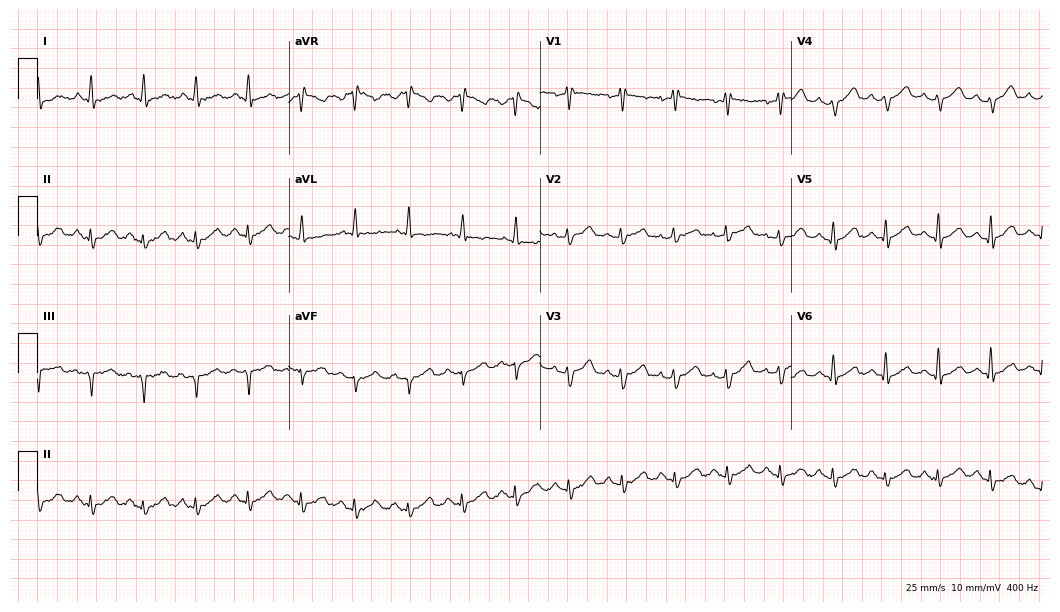
Standard 12-lead ECG recorded from a 41-year-old male. The tracing shows sinus tachycardia (a sinus rate of 100 beats per minute or more).